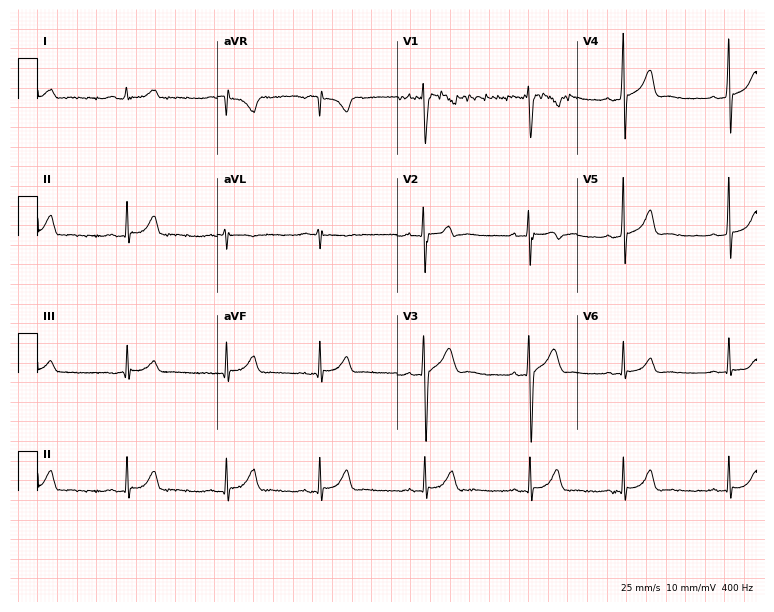
Standard 12-lead ECG recorded from a man, 18 years old (7.3-second recording at 400 Hz). None of these six findings is recorded: first-degree AV block, right bundle branch block, left bundle branch block, sinus bradycardia, atrial fibrillation, sinus tachycardia. Findings outside these six are not listed.